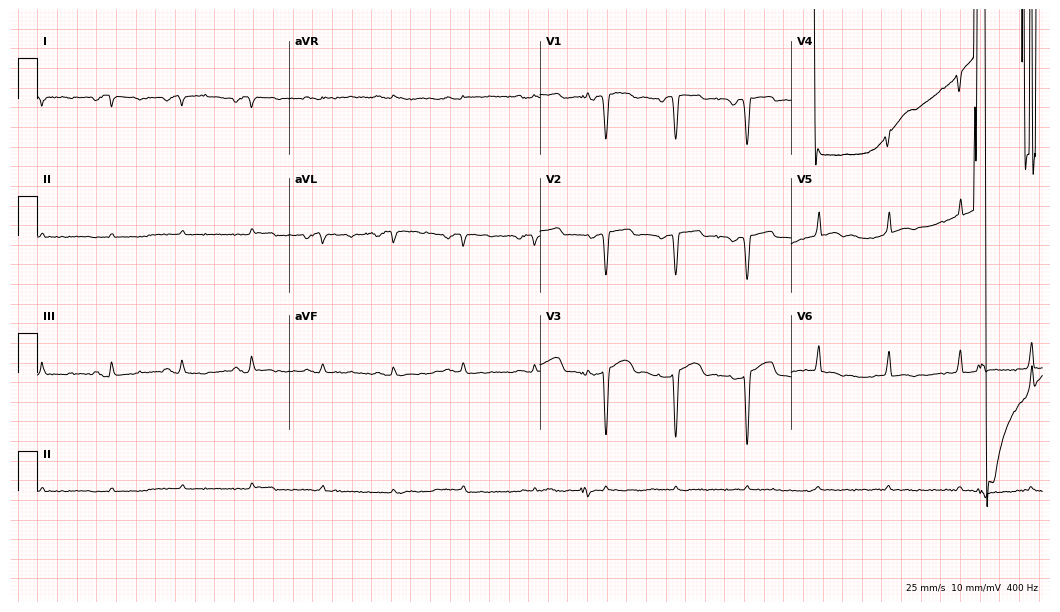
ECG (10.2-second recording at 400 Hz) — a male patient, 75 years old. Screened for six findings — first-degree AV block, right bundle branch block, left bundle branch block, sinus bradycardia, atrial fibrillation, sinus tachycardia — none is recorded.